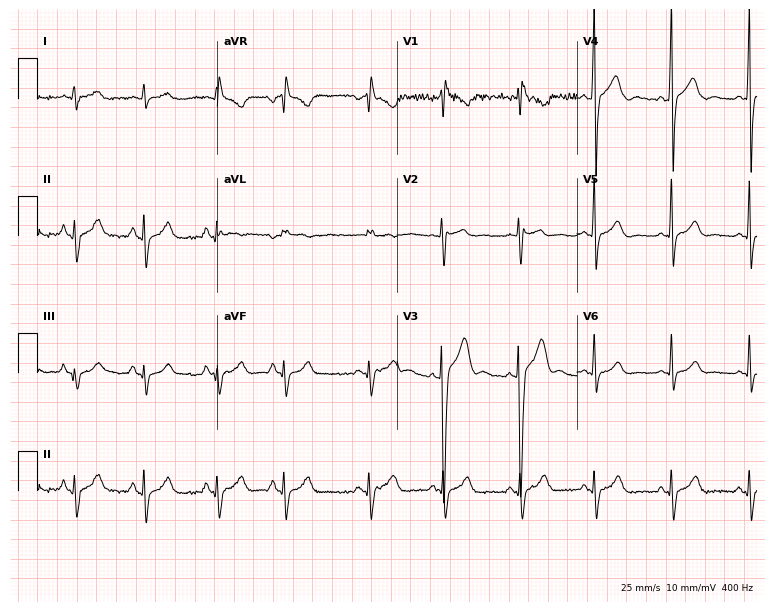
12-lead ECG from a 25-year-old male patient (7.3-second recording at 400 Hz). No first-degree AV block, right bundle branch block (RBBB), left bundle branch block (LBBB), sinus bradycardia, atrial fibrillation (AF) or sinus tachycardia recorded for this tracing. Other findings, if any, are not listed.